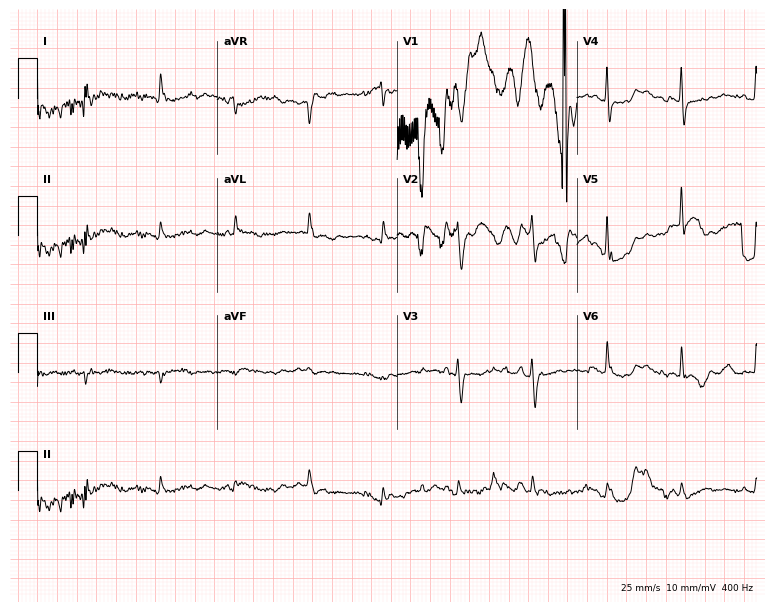
12-lead ECG from a woman, 79 years old. Screened for six findings — first-degree AV block, right bundle branch block, left bundle branch block, sinus bradycardia, atrial fibrillation, sinus tachycardia — none is recorded. Other findings, if any, are not listed.